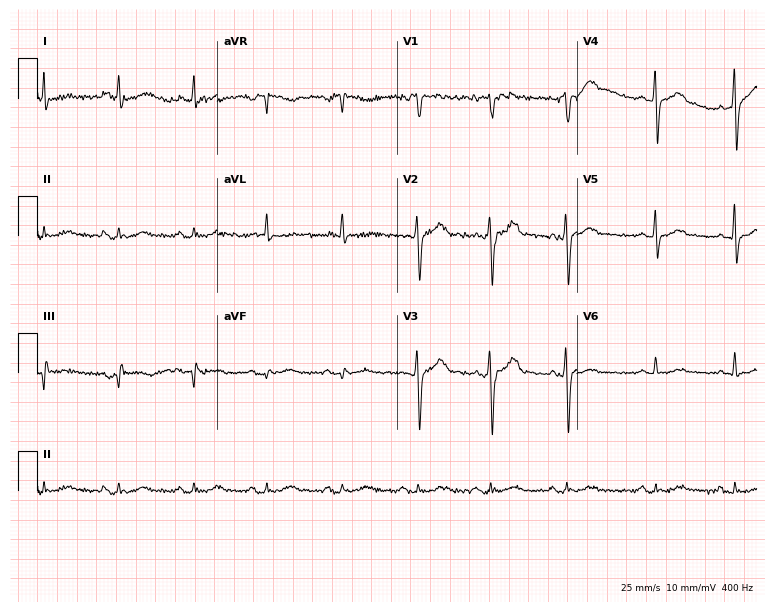
Electrocardiogram (7.3-second recording at 400 Hz), a man, 62 years old. Of the six screened findings (first-degree AV block, right bundle branch block, left bundle branch block, sinus bradycardia, atrial fibrillation, sinus tachycardia), none is recorded.